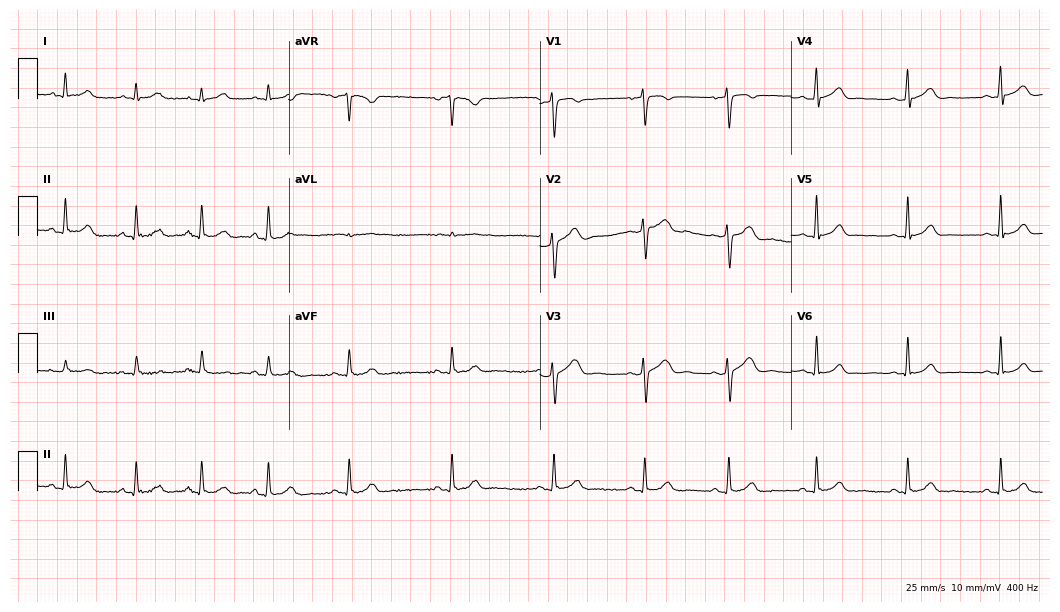
12-lead ECG from a 39-year-old female patient (10.2-second recording at 400 Hz). No first-degree AV block, right bundle branch block, left bundle branch block, sinus bradycardia, atrial fibrillation or sinus tachycardia recorded for this tracing. Only these six findings were labelled.